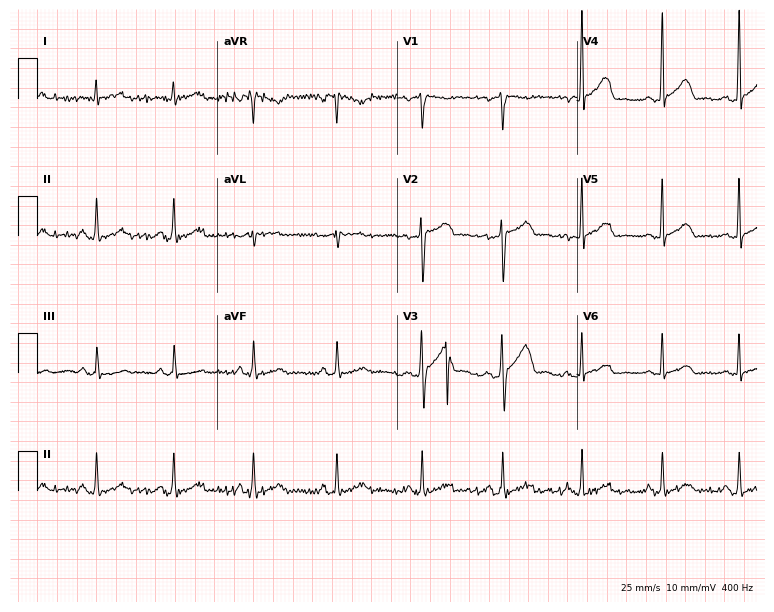
12-lead ECG from a male patient, 43 years old. Recorded interpretation: within normal limits.